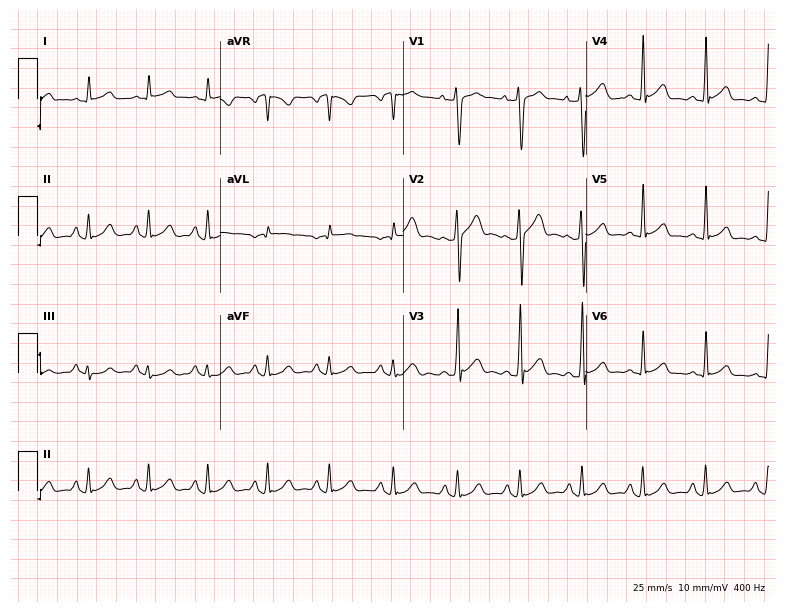
Standard 12-lead ECG recorded from a 21-year-old male patient (7.5-second recording at 400 Hz). None of these six findings is recorded: first-degree AV block, right bundle branch block, left bundle branch block, sinus bradycardia, atrial fibrillation, sinus tachycardia.